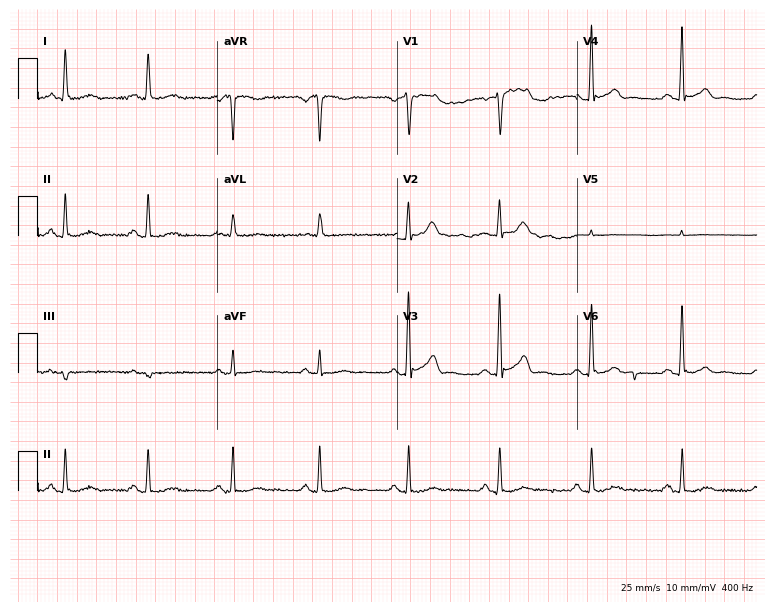
12-lead ECG (7.3-second recording at 400 Hz) from a man, 67 years old. Screened for six findings — first-degree AV block, right bundle branch block, left bundle branch block, sinus bradycardia, atrial fibrillation, sinus tachycardia — none is recorded.